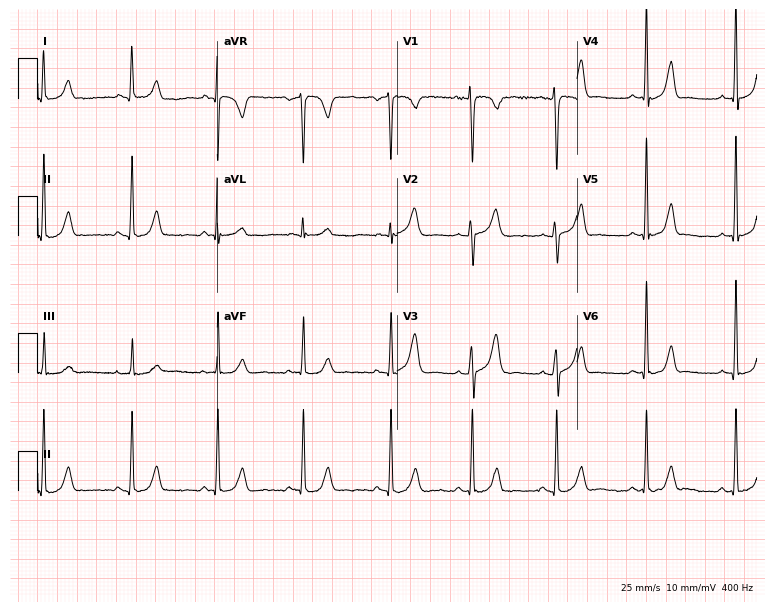
12-lead ECG (7.3-second recording at 400 Hz) from a 35-year-old woman. Labelled as a normal ECG.